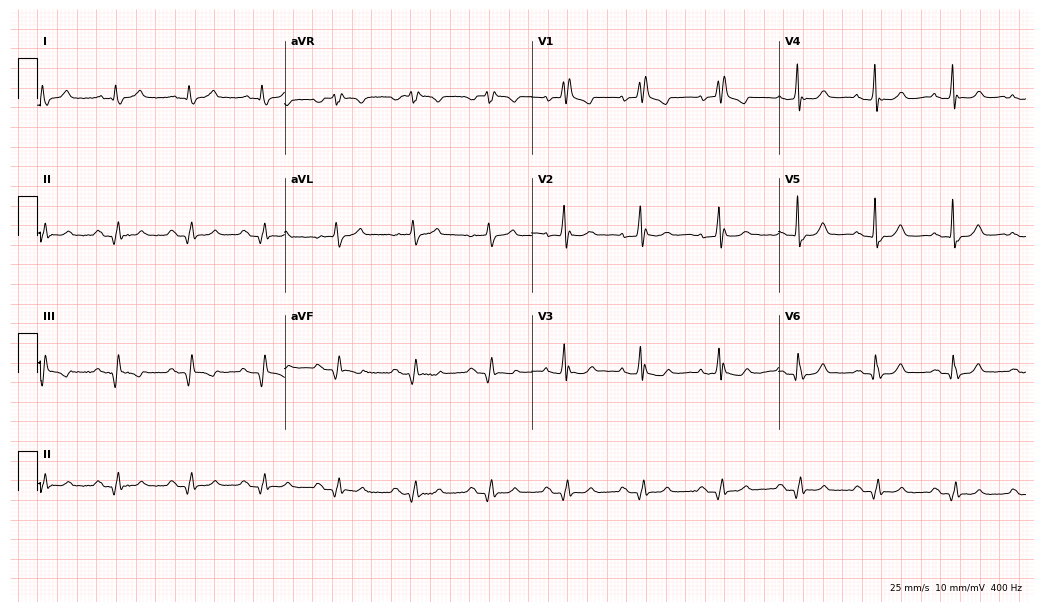
Standard 12-lead ECG recorded from an 80-year-old male patient. None of these six findings is recorded: first-degree AV block, right bundle branch block (RBBB), left bundle branch block (LBBB), sinus bradycardia, atrial fibrillation (AF), sinus tachycardia.